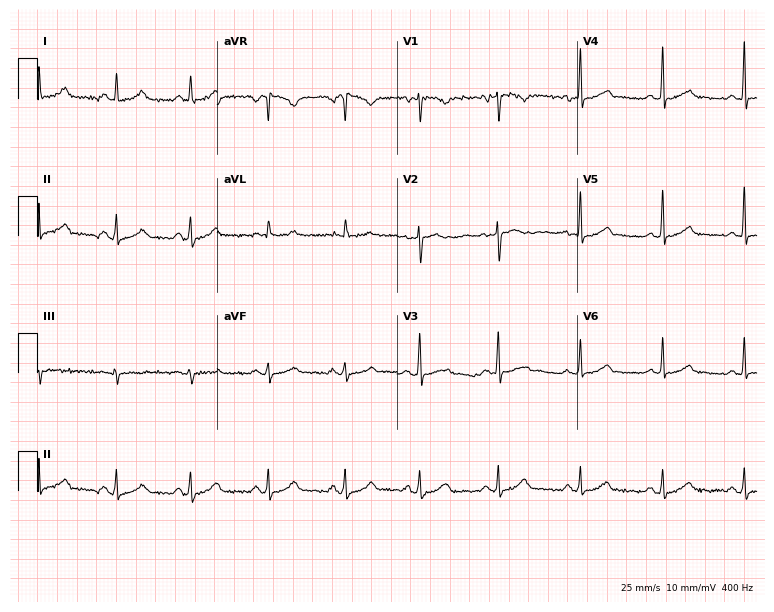
Standard 12-lead ECG recorded from a 43-year-old female patient. Read as a normal ECG.